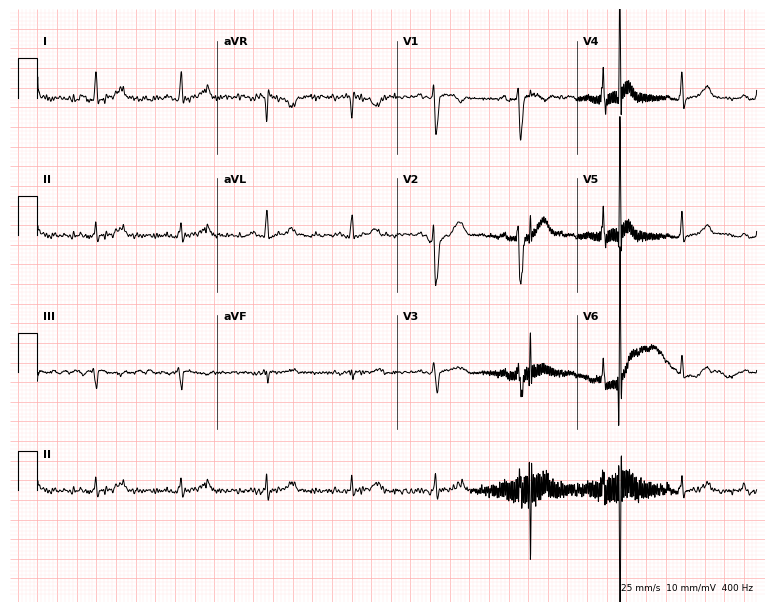
12-lead ECG from a woman, 52 years old. Recorded interpretation: within normal limits.